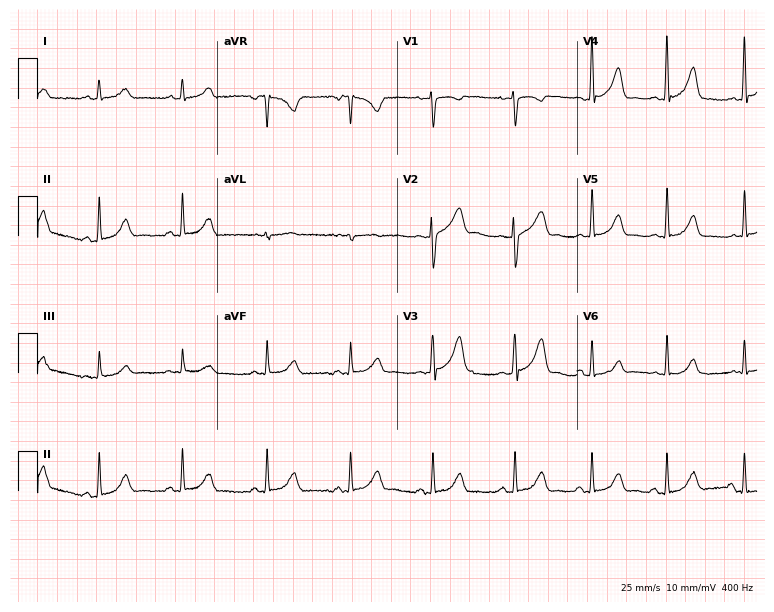
ECG — a female, 32 years old. Labelled as a normal ECG.